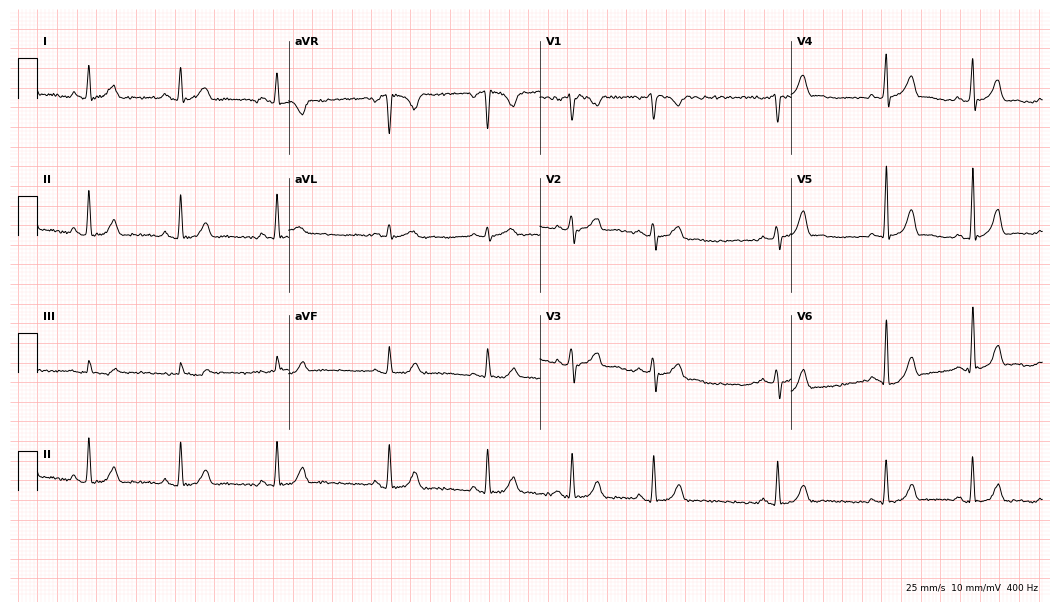
12-lead ECG (10.2-second recording at 400 Hz) from a female patient, 24 years old. Screened for six findings — first-degree AV block, right bundle branch block (RBBB), left bundle branch block (LBBB), sinus bradycardia, atrial fibrillation (AF), sinus tachycardia — none is recorded.